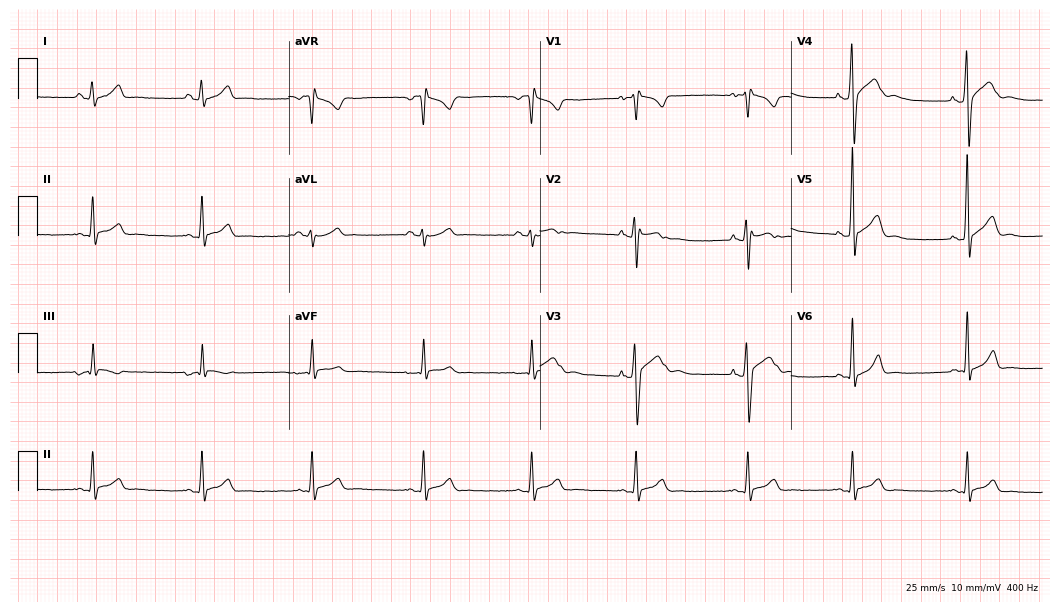
Resting 12-lead electrocardiogram. Patient: a 28-year-old male. Read as a normal ECG.